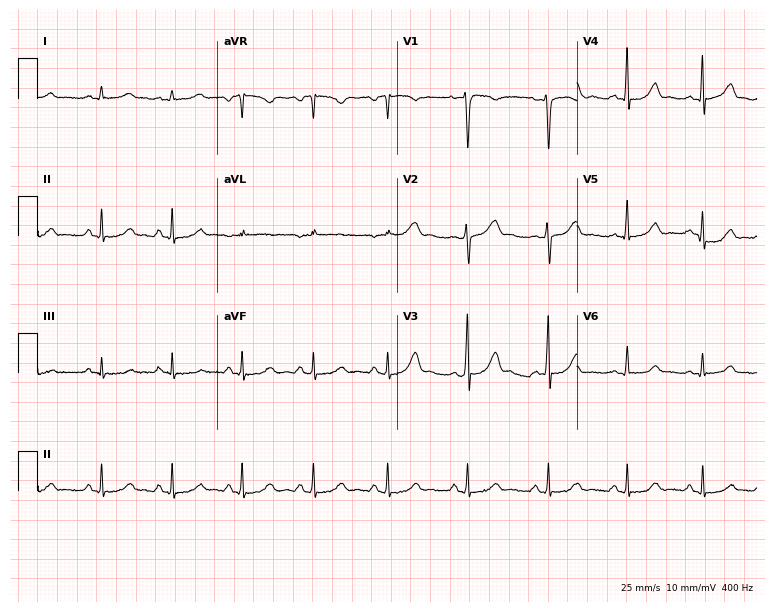
ECG — a 33-year-old female patient. Labelled as a normal ECG.